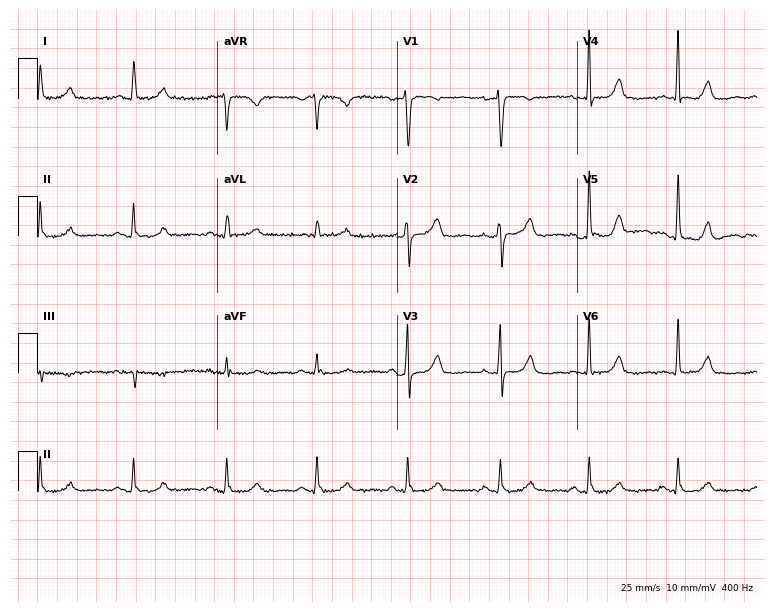
12-lead ECG (7.3-second recording at 400 Hz) from a woman, 76 years old. Labelled as a normal ECG.